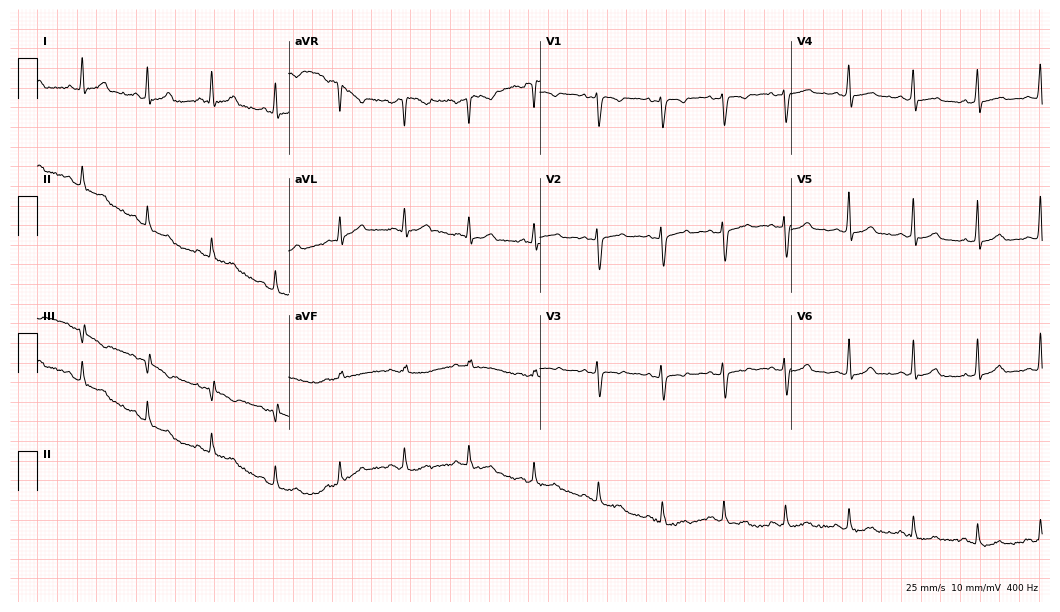
12-lead ECG from a 20-year-old female patient. Recorded interpretation: within normal limits.